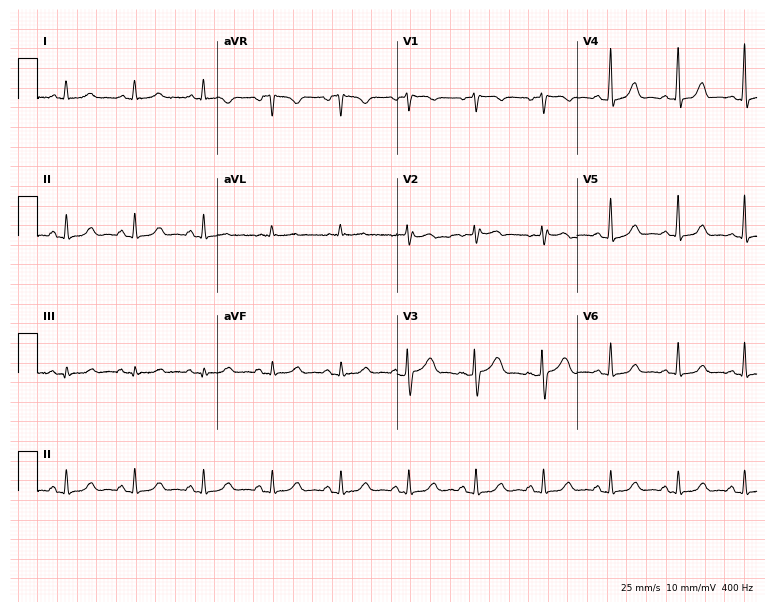
12-lead ECG from a 56-year-old female. Labelled as a normal ECG.